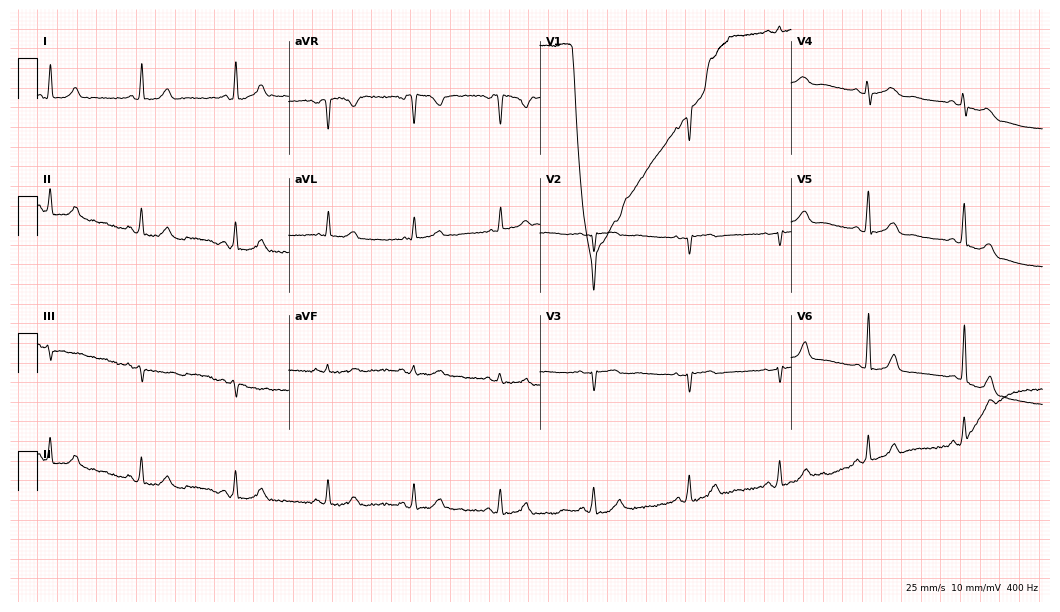
Electrocardiogram (10.2-second recording at 400 Hz), a female patient, 40 years old. Of the six screened findings (first-degree AV block, right bundle branch block, left bundle branch block, sinus bradycardia, atrial fibrillation, sinus tachycardia), none is recorded. Findings outside these six are not listed.